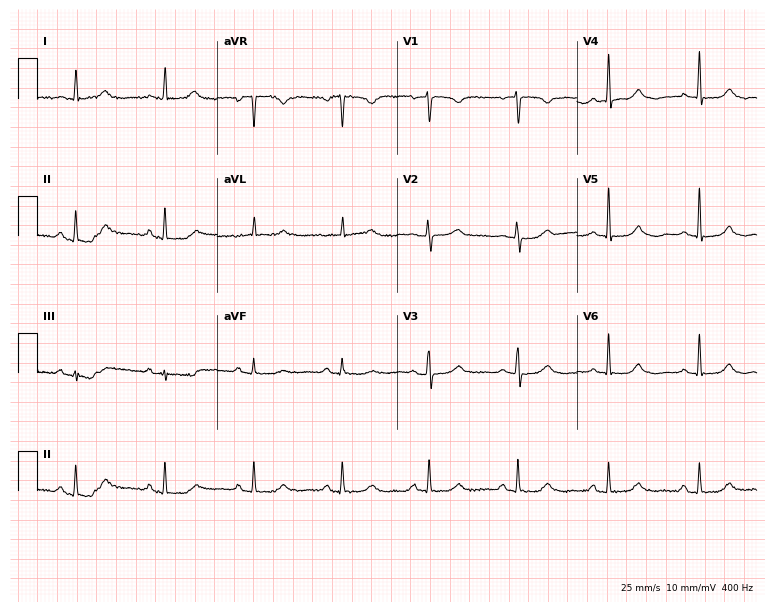
Electrocardiogram (7.3-second recording at 400 Hz), a female patient, 75 years old. Of the six screened findings (first-degree AV block, right bundle branch block, left bundle branch block, sinus bradycardia, atrial fibrillation, sinus tachycardia), none is recorded.